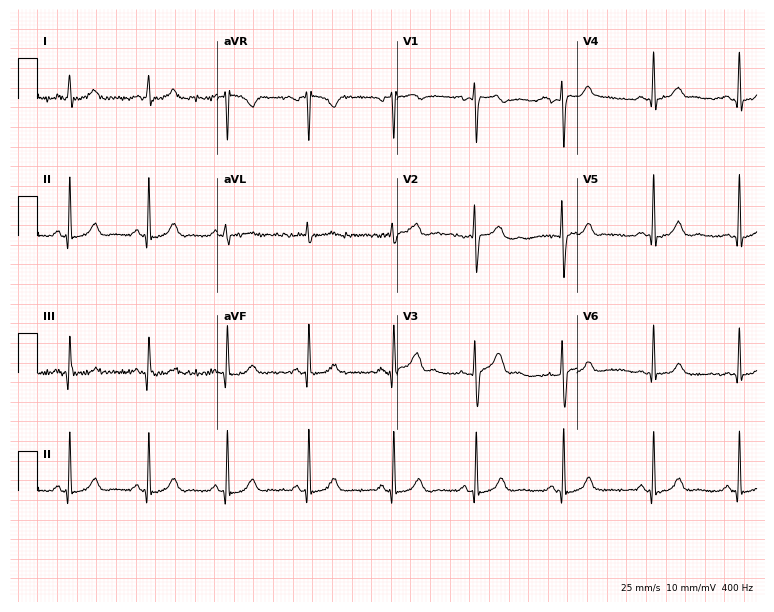
12-lead ECG from a female patient, 24 years old (7.3-second recording at 400 Hz). No first-degree AV block, right bundle branch block, left bundle branch block, sinus bradycardia, atrial fibrillation or sinus tachycardia recorded for this tracing.